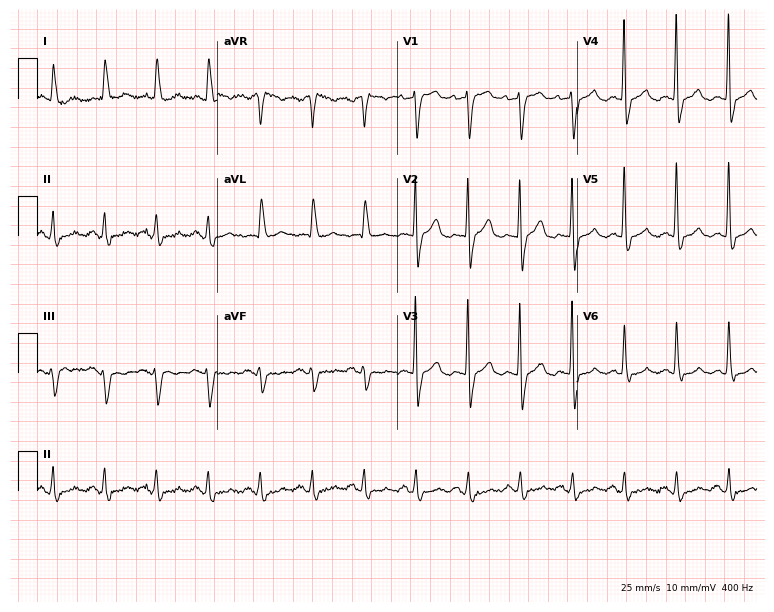
12-lead ECG from a female, 66 years old. Screened for six findings — first-degree AV block, right bundle branch block, left bundle branch block, sinus bradycardia, atrial fibrillation, sinus tachycardia — none is recorded. Only these six findings were labelled.